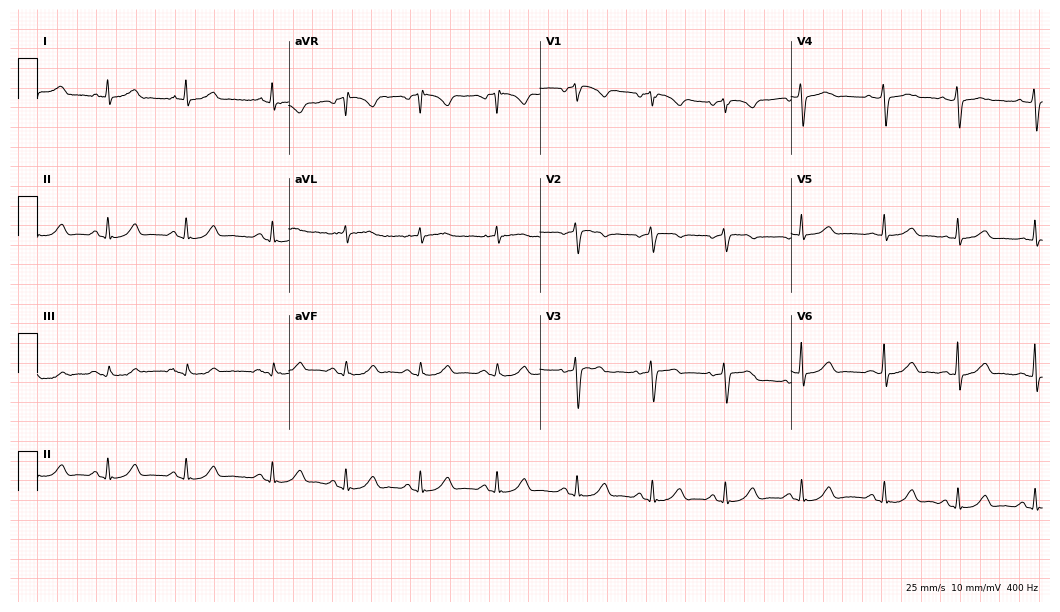
Resting 12-lead electrocardiogram (10.2-second recording at 400 Hz). Patient: a 46-year-old woman. Read as a normal ECG.